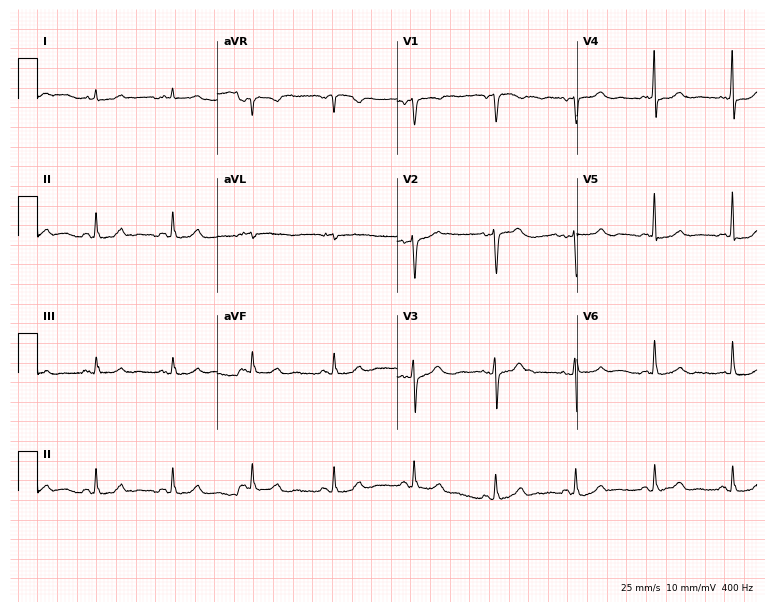
Standard 12-lead ECG recorded from a 53-year-old female. None of these six findings is recorded: first-degree AV block, right bundle branch block (RBBB), left bundle branch block (LBBB), sinus bradycardia, atrial fibrillation (AF), sinus tachycardia.